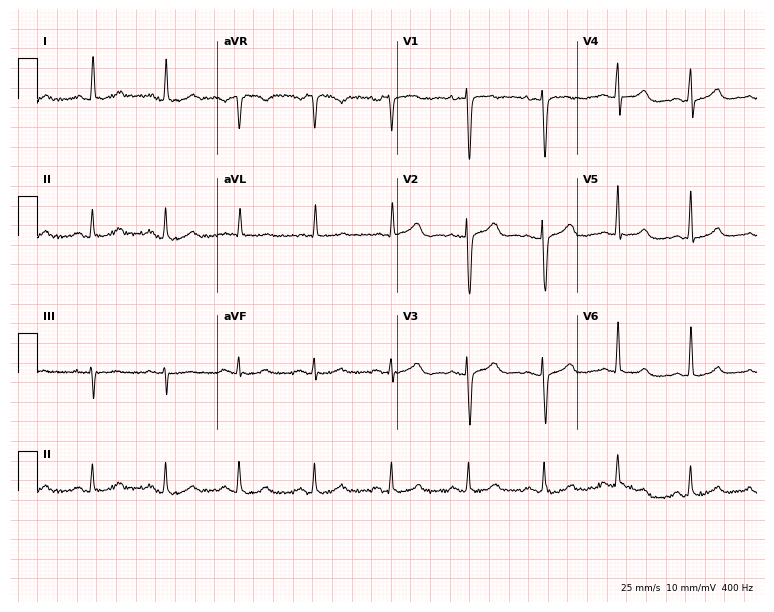
12-lead ECG (7.3-second recording at 400 Hz) from a 46-year-old woman. Screened for six findings — first-degree AV block, right bundle branch block, left bundle branch block, sinus bradycardia, atrial fibrillation, sinus tachycardia — none is recorded. Other findings, if any, are not listed.